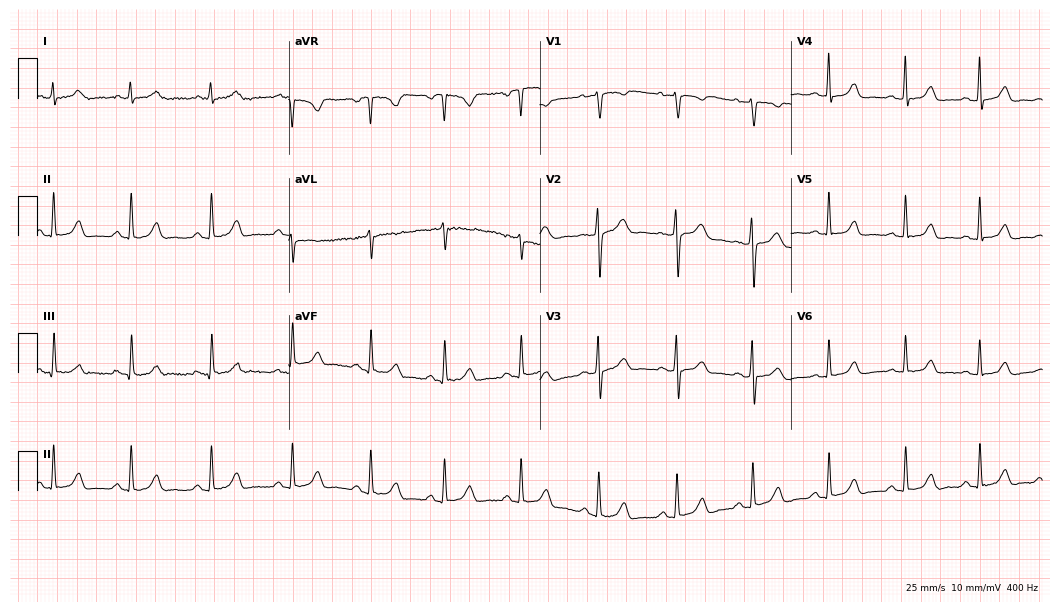
12-lead ECG from a 35-year-old female patient. Recorded interpretation: within normal limits.